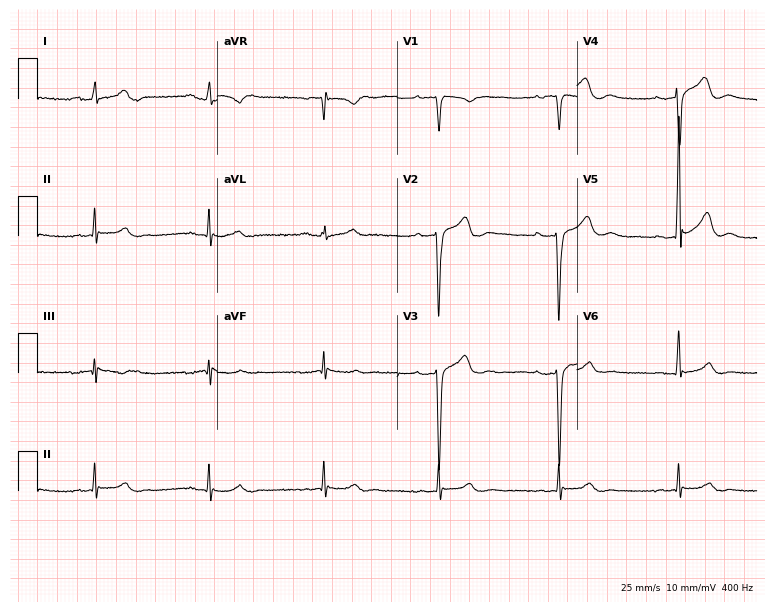
12-lead ECG (7.3-second recording at 400 Hz) from a man, 44 years old. Screened for six findings — first-degree AV block, right bundle branch block, left bundle branch block, sinus bradycardia, atrial fibrillation, sinus tachycardia — none is recorded. Other findings, if any, are not listed.